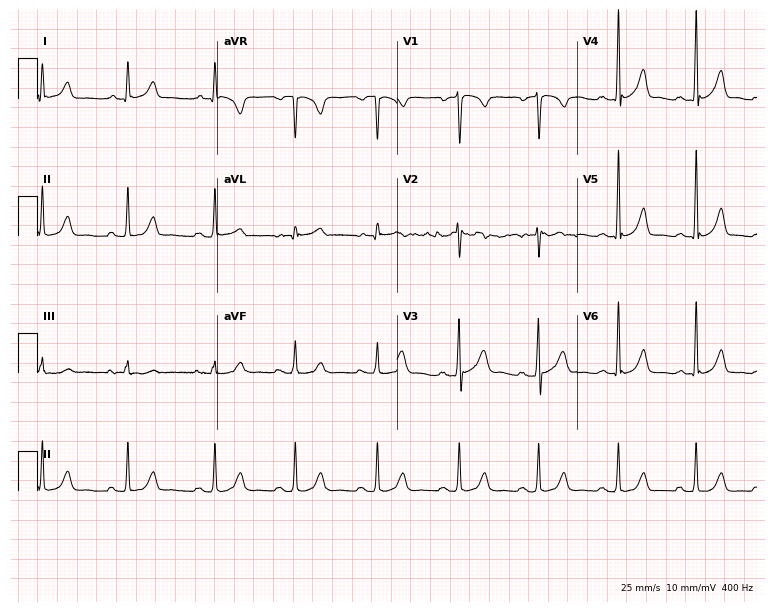
Electrocardiogram, a man, 29 years old. Overall reading on record: normal ECG.